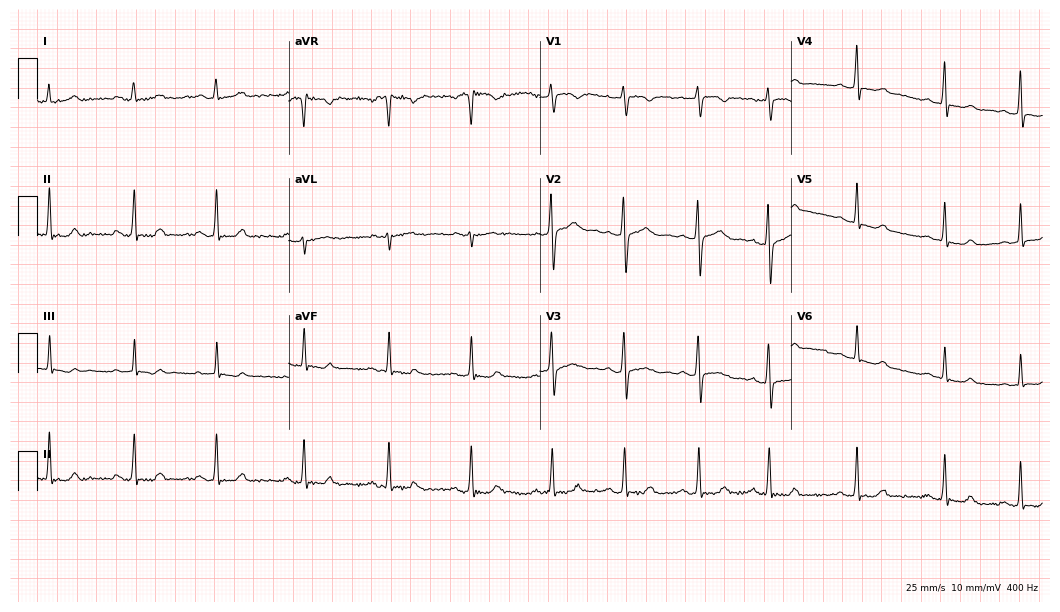
Electrocardiogram, a woman, 19 years old. Of the six screened findings (first-degree AV block, right bundle branch block (RBBB), left bundle branch block (LBBB), sinus bradycardia, atrial fibrillation (AF), sinus tachycardia), none is recorded.